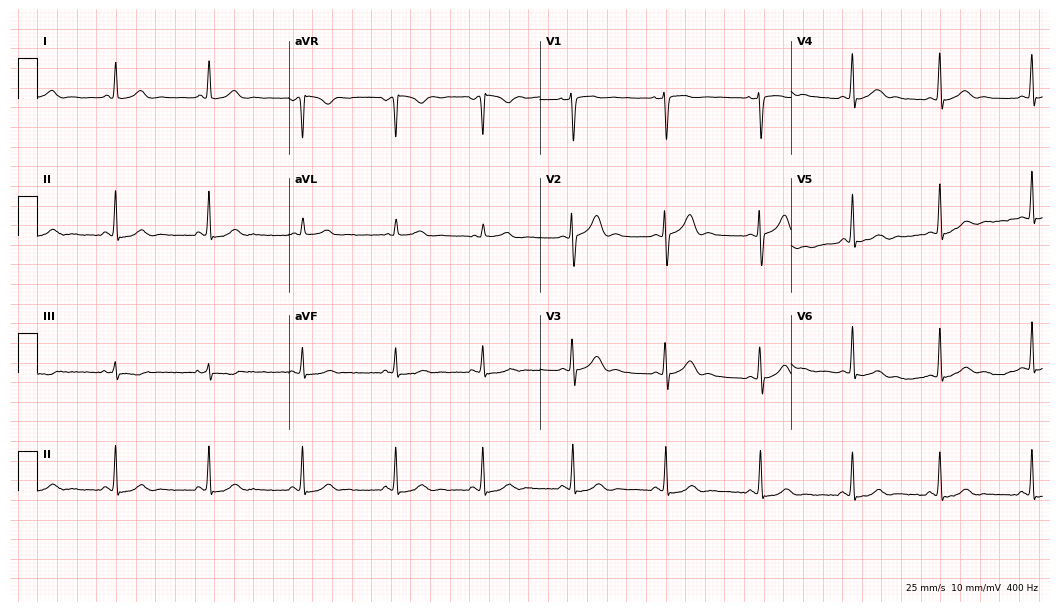
ECG — a 31-year-old woman. Labelled as a normal ECG.